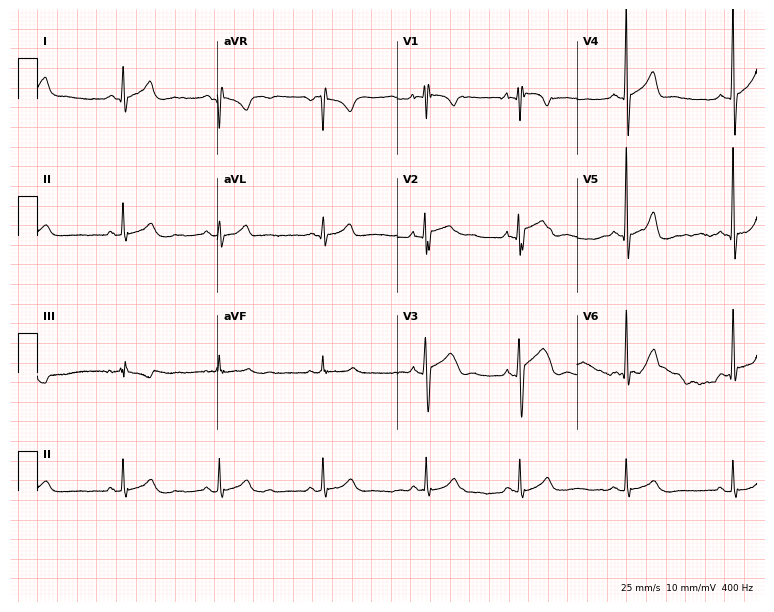
Electrocardiogram, a man, 20 years old. Of the six screened findings (first-degree AV block, right bundle branch block, left bundle branch block, sinus bradycardia, atrial fibrillation, sinus tachycardia), none is recorded. Other findings, if any, are not listed.